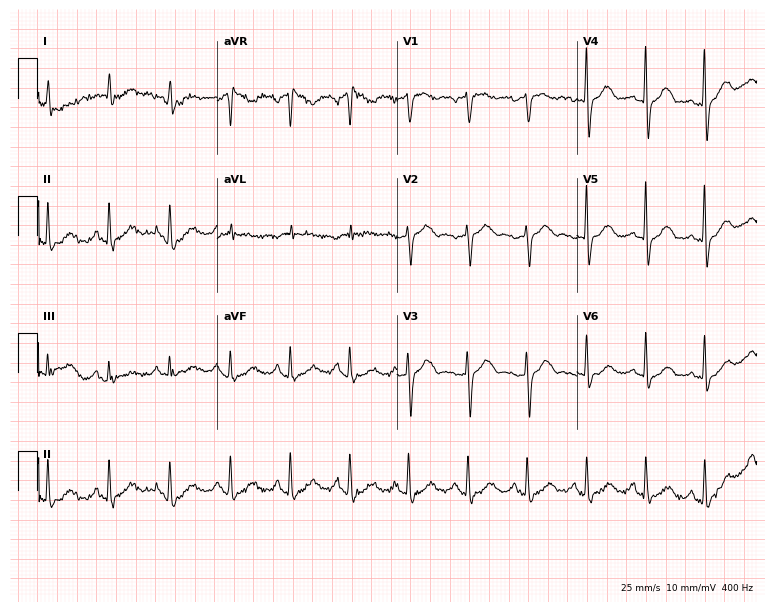
12-lead ECG from a female patient, 61 years old. Screened for six findings — first-degree AV block, right bundle branch block, left bundle branch block, sinus bradycardia, atrial fibrillation, sinus tachycardia — none is recorded.